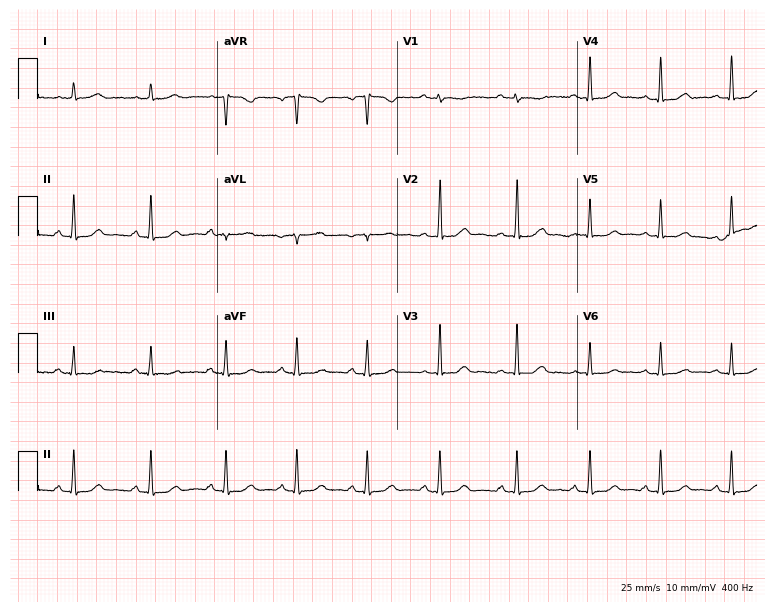
ECG — a 24-year-old female patient. Labelled as a normal ECG.